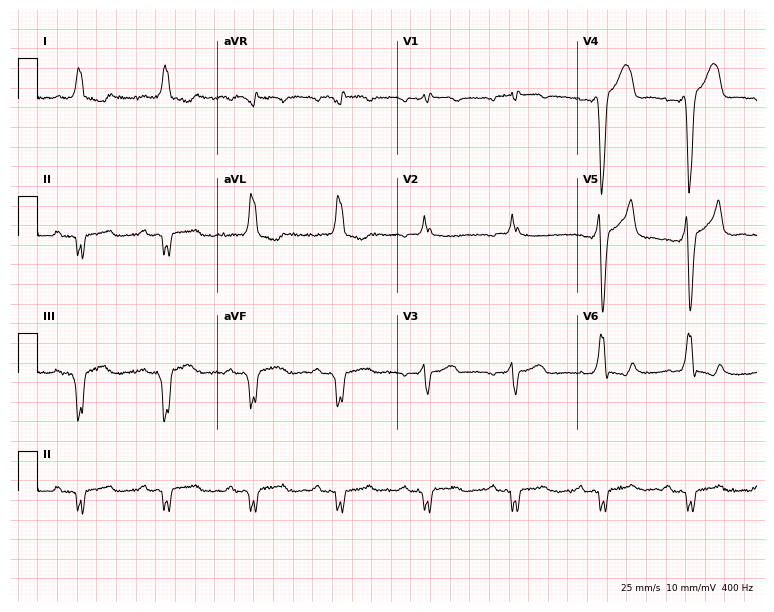
ECG (7.3-second recording at 400 Hz) — a male, 72 years old. Screened for six findings — first-degree AV block, right bundle branch block, left bundle branch block, sinus bradycardia, atrial fibrillation, sinus tachycardia — none is recorded. Findings outside these six are not listed.